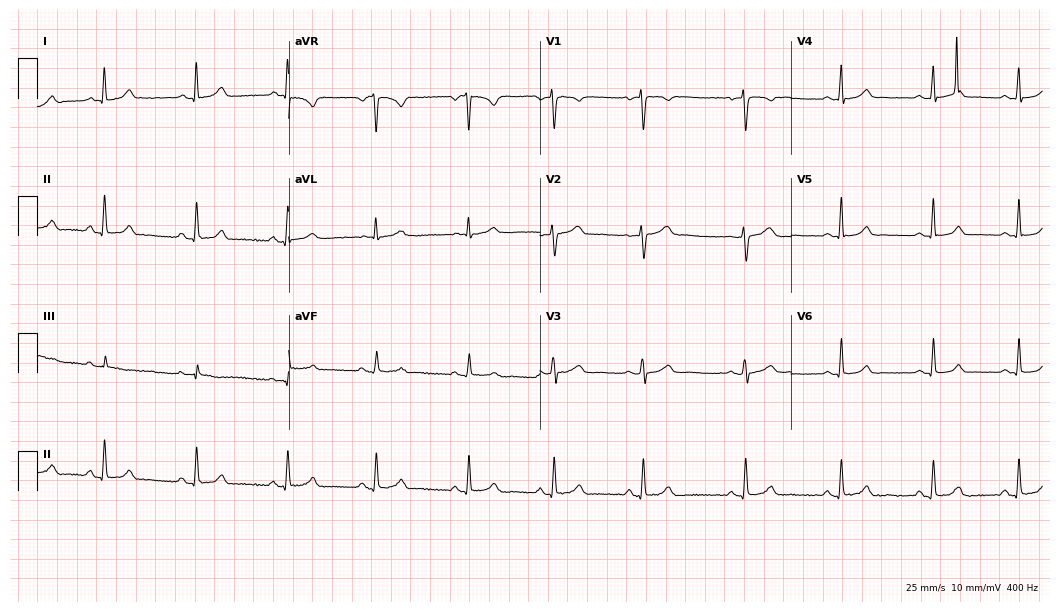
12-lead ECG from a female patient, 31 years old. Recorded interpretation: within normal limits.